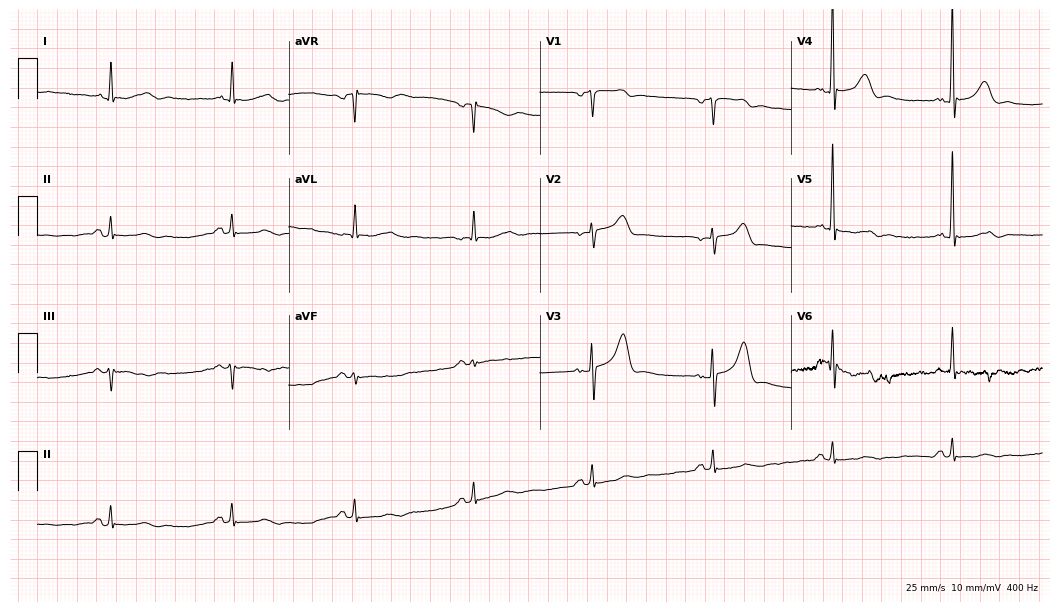
Standard 12-lead ECG recorded from a male, 72 years old. The tracing shows sinus bradycardia (a sinus rate of 50 beats per minute or less).